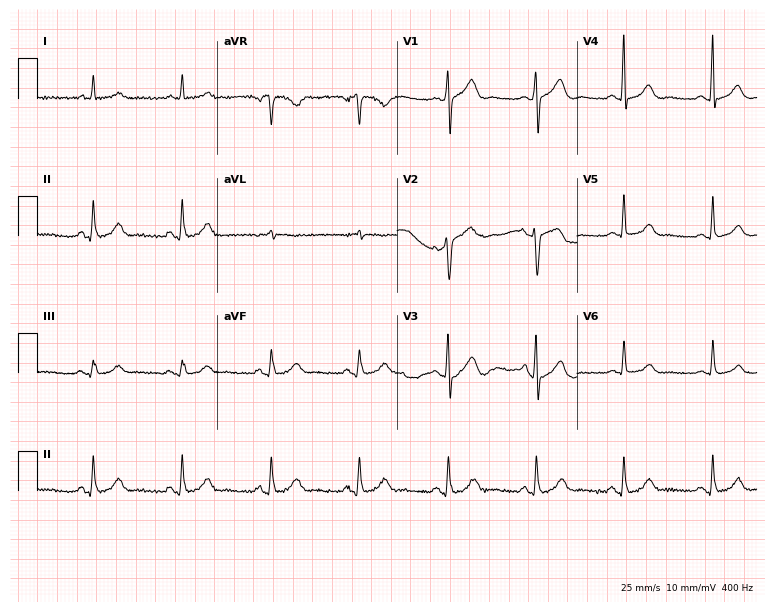
Standard 12-lead ECG recorded from a 60-year-old female patient (7.3-second recording at 400 Hz). Read as a normal ECG.